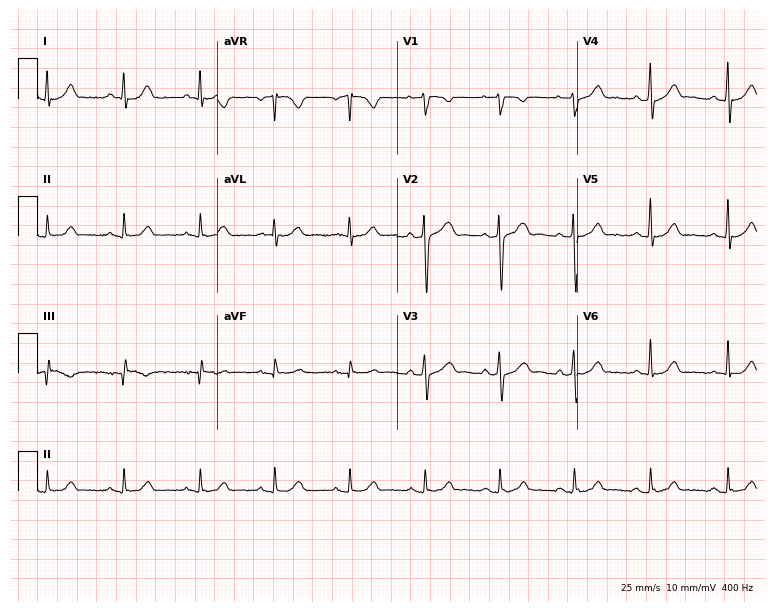
Resting 12-lead electrocardiogram (7.3-second recording at 400 Hz). Patient: a 51-year-old male. Read as a normal ECG.